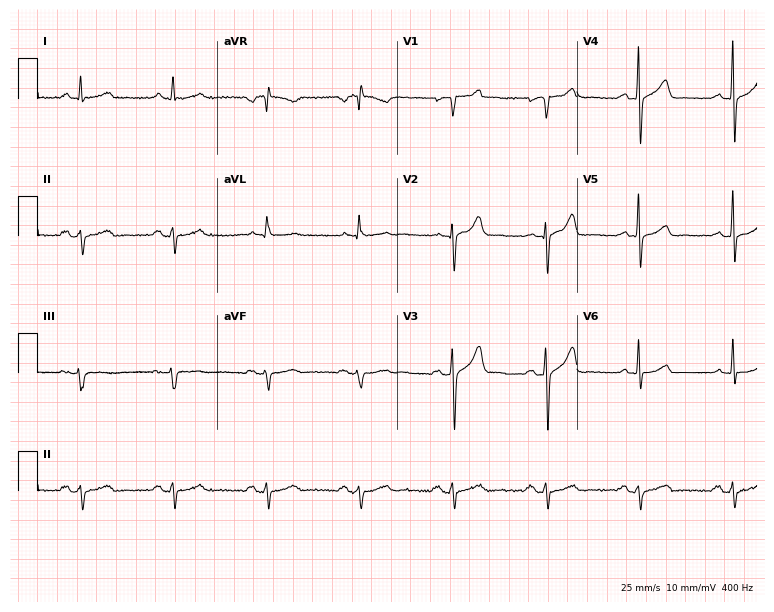
Electrocardiogram, a 59-year-old male. Overall reading on record: normal ECG.